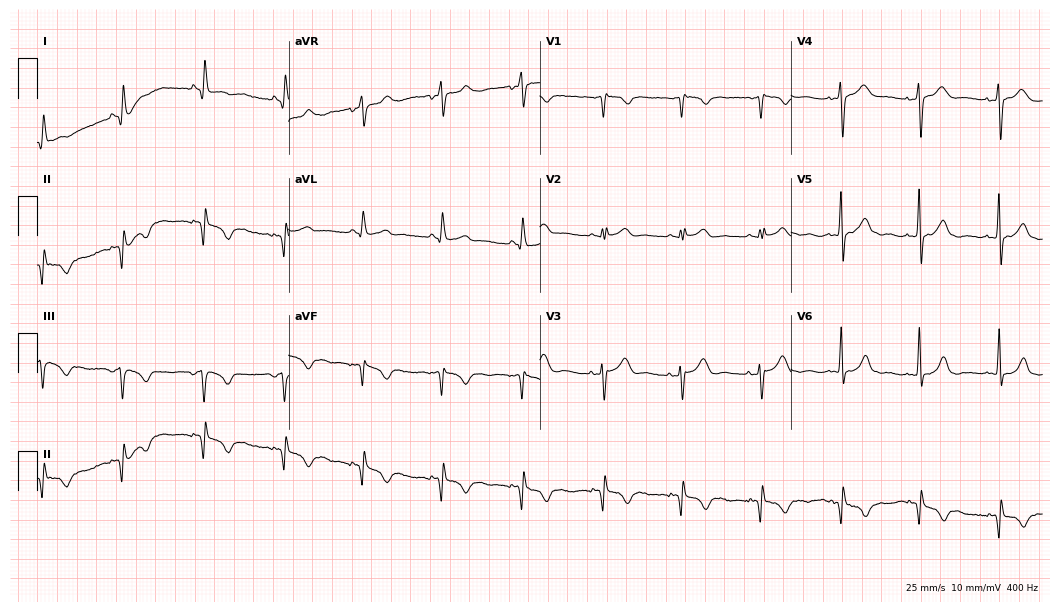
Resting 12-lead electrocardiogram (10.2-second recording at 400 Hz). Patient: a 46-year-old woman. None of these six findings is recorded: first-degree AV block, right bundle branch block, left bundle branch block, sinus bradycardia, atrial fibrillation, sinus tachycardia.